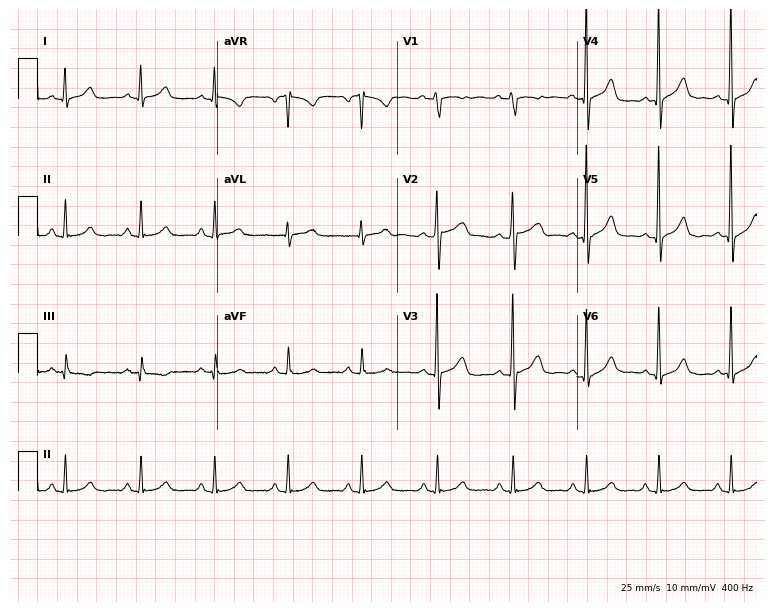
Standard 12-lead ECG recorded from a 53-year-old male (7.3-second recording at 400 Hz). Read as a normal ECG.